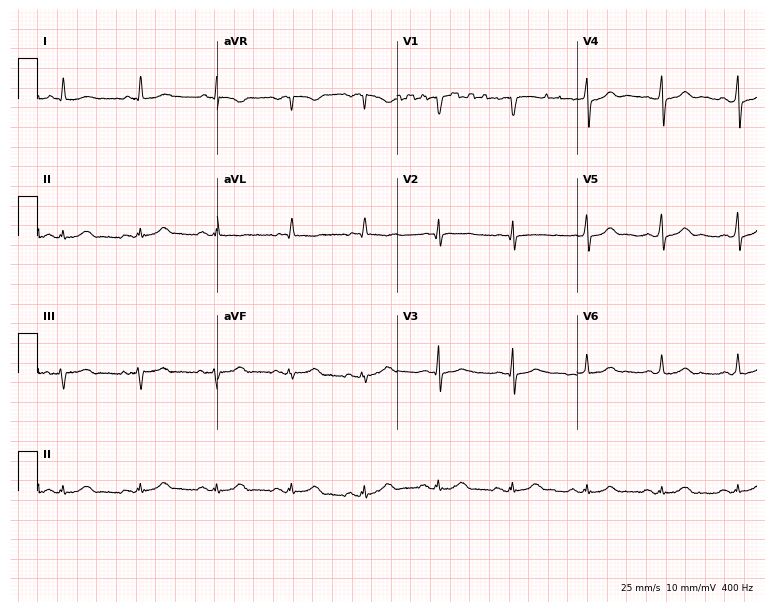
Standard 12-lead ECG recorded from a 77-year-old male patient (7.3-second recording at 400 Hz). Read as a normal ECG.